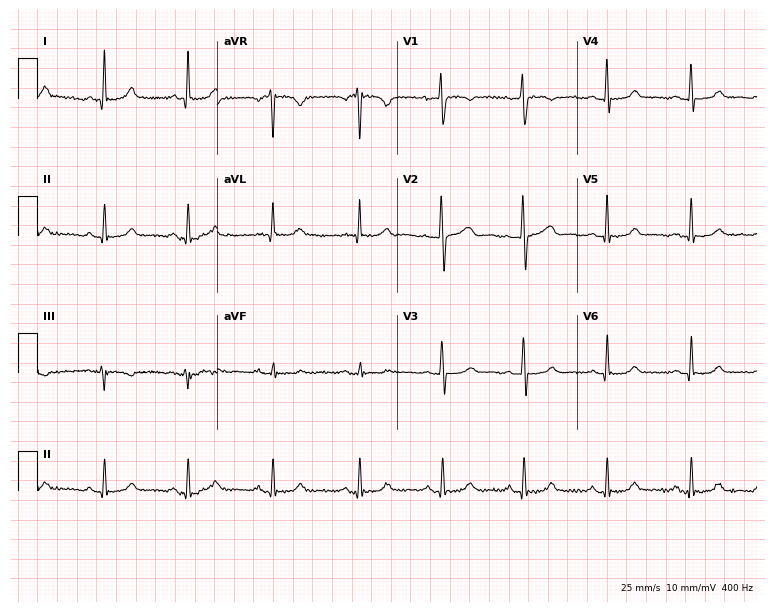
Electrocardiogram, a 41-year-old woman. Overall reading on record: normal ECG.